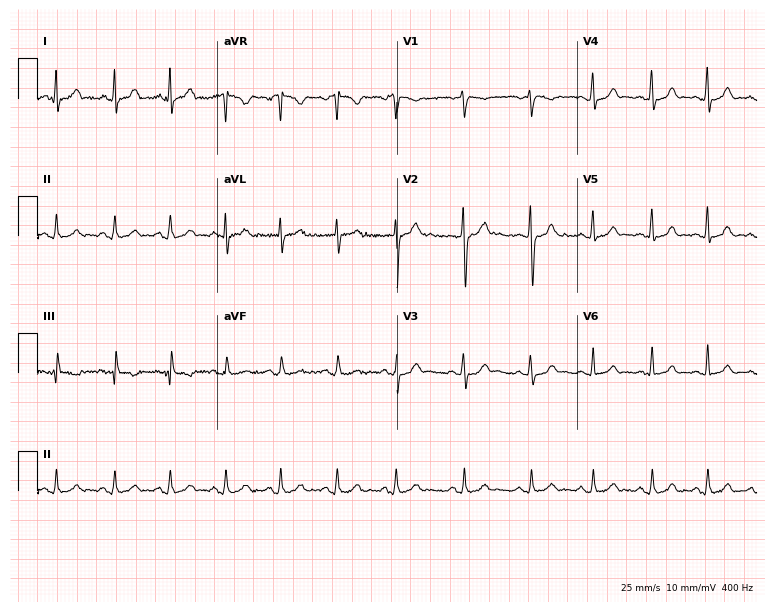
12-lead ECG from a 38-year-old male. Labelled as a normal ECG.